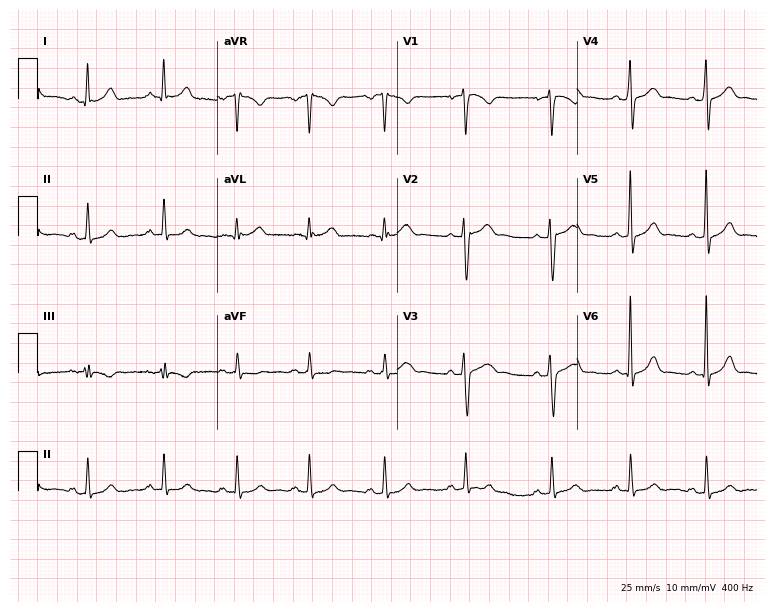
Resting 12-lead electrocardiogram (7.3-second recording at 400 Hz). Patient: a 23-year-old male. Read as a normal ECG.